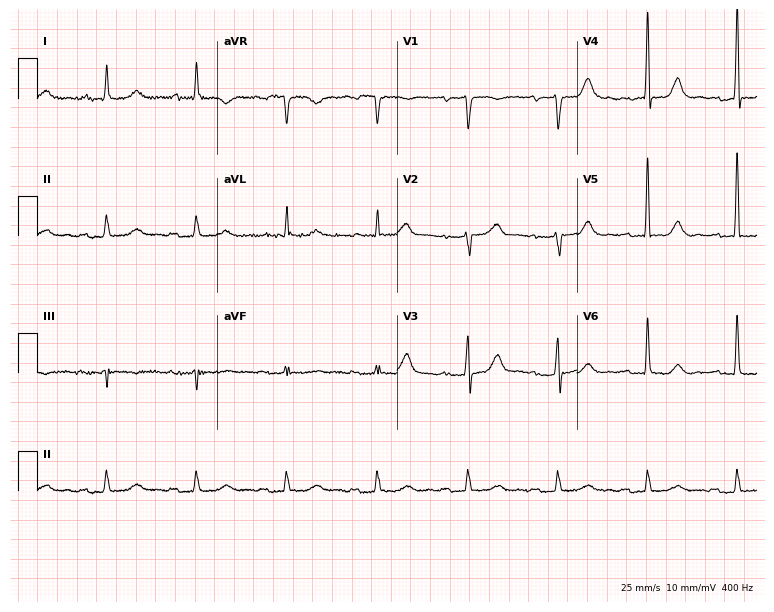
ECG — a male patient, 82 years old. Labelled as a normal ECG.